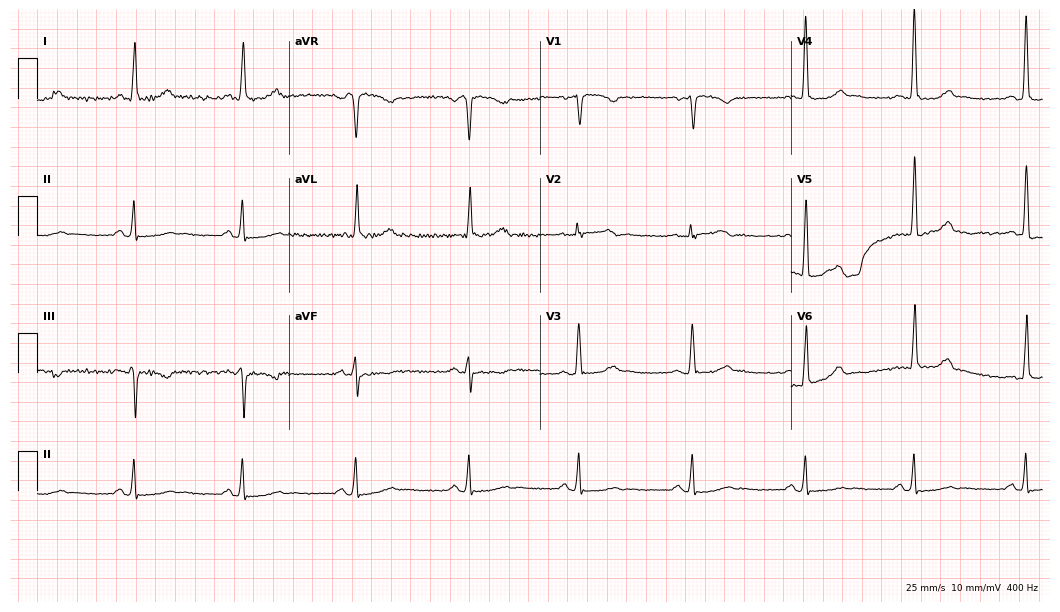
ECG (10.2-second recording at 400 Hz) — a 60-year-old female. Screened for six findings — first-degree AV block, right bundle branch block (RBBB), left bundle branch block (LBBB), sinus bradycardia, atrial fibrillation (AF), sinus tachycardia — none is recorded. Other findings, if any, are not listed.